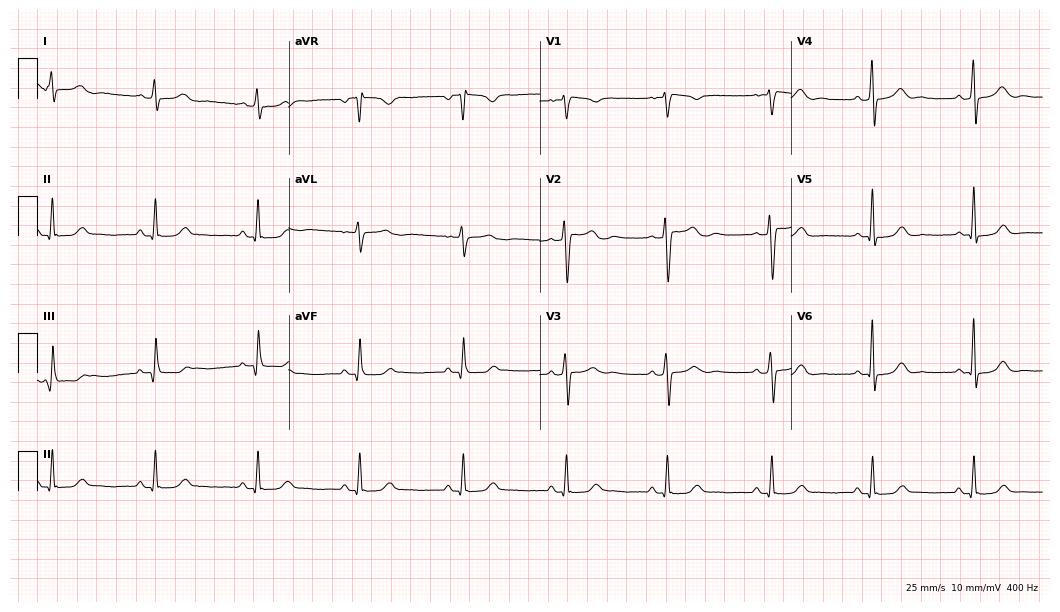
12-lead ECG from a 37-year-old female. Recorded interpretation: within normal limits.